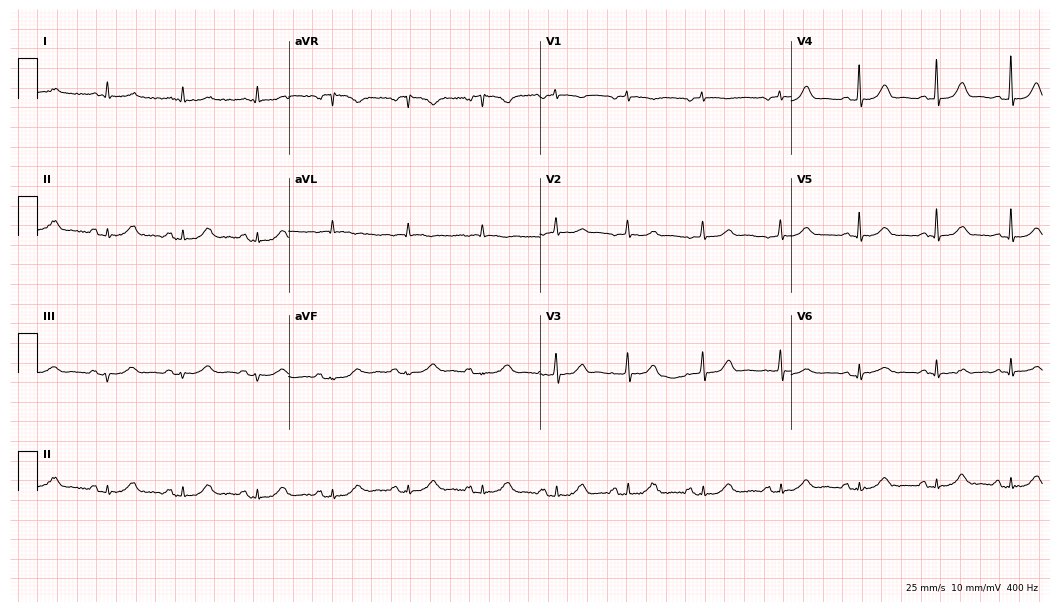
12-lead ECG from a 58-year-old woman. No first-degree AV block, right bundle branch block, left bundle branch block, sinus bradycardia, atrial fibrillation or sinus tachycardia recorded for this tracing. Findings outside these six are not listed.